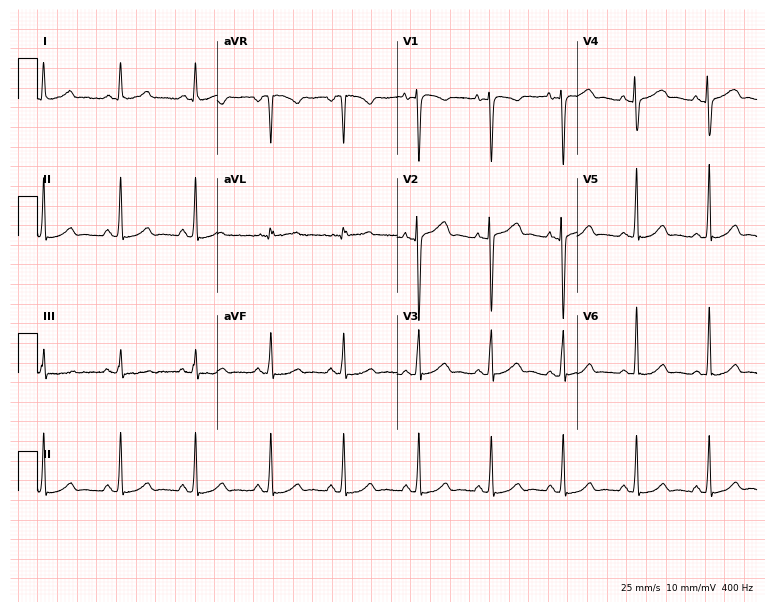
Standard 12-lead ECG recorded from a 25-year-old woman. Read as a normal ECG.